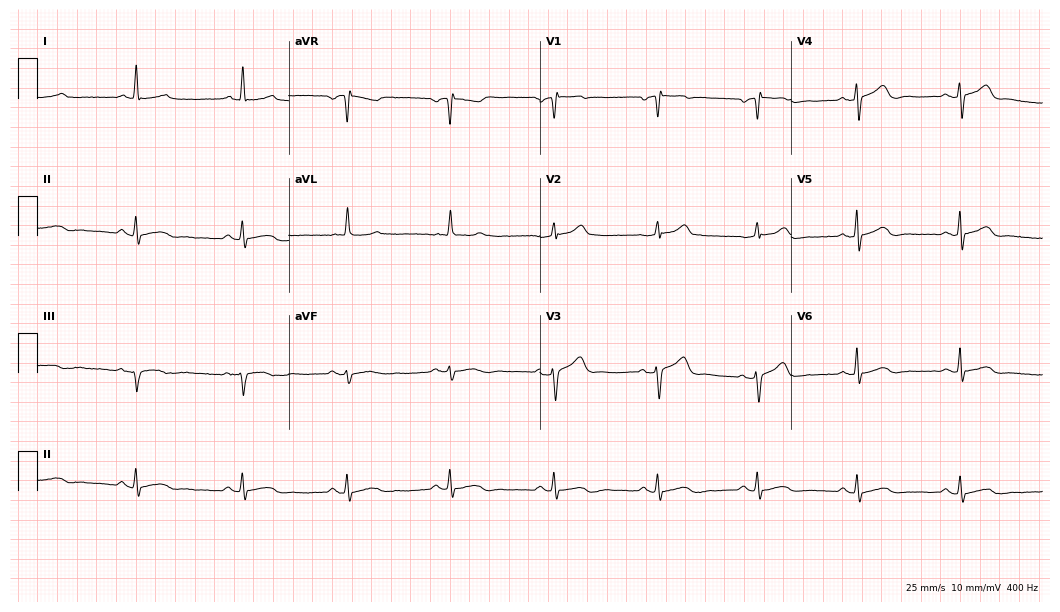
12-lead ECG from a male, 65 years old (10.2-second recording at 400 Hz). Recorded interpretation: within normal limits.